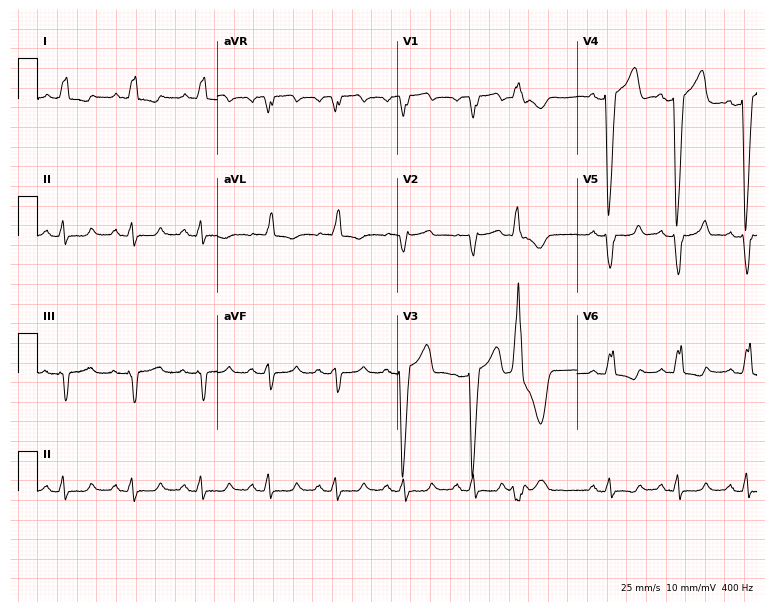
Electrocardiogram, a 79-year-old man. Of the six screened findings (first-degree AV block, right bundle branch block, left bundle branch block, sinus bradycardia, atrial fibrillation, sinus tachycardia), none is recorded.